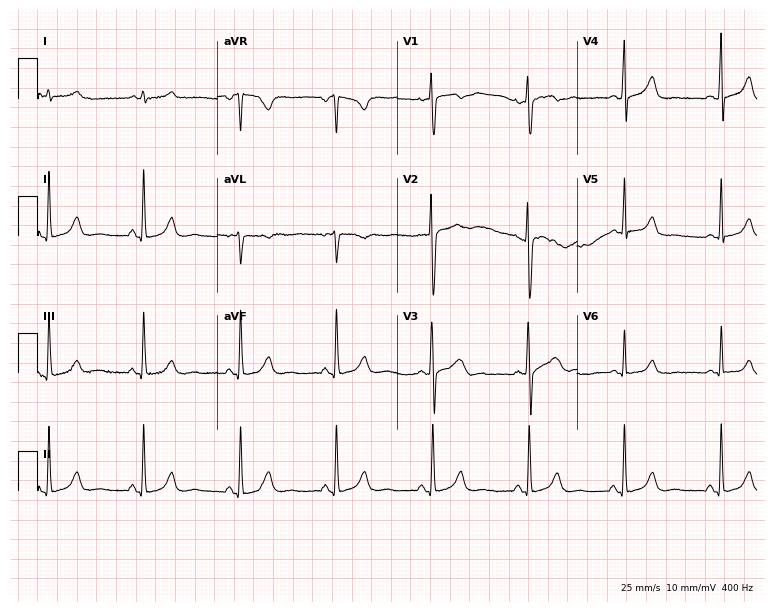
Standard 12-lead ECG recorded from a 19-year-old female. None of these six findings is recorded: first-degree AV block, right bundle branch block, left bundle branch block, sinus bradycardia, atrial fibrillation, sinus tachycardia.